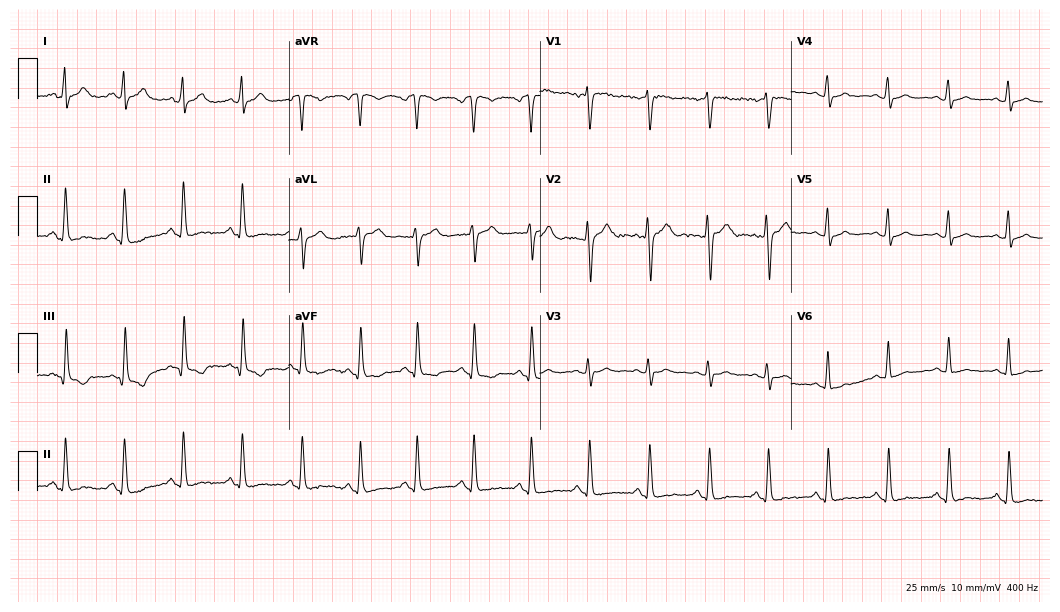
12-lead ECG from a 29-year-old female patient (10.2-second recording at 400 Hz). No first-degree AV block, right bundle branch block (RBBB), left bundle branch block (LBBB), sinus bradycardia, atrial fibrillation (AF) or sinus tachycardia recorded for this tracing. Other findings, if any, are not listed.